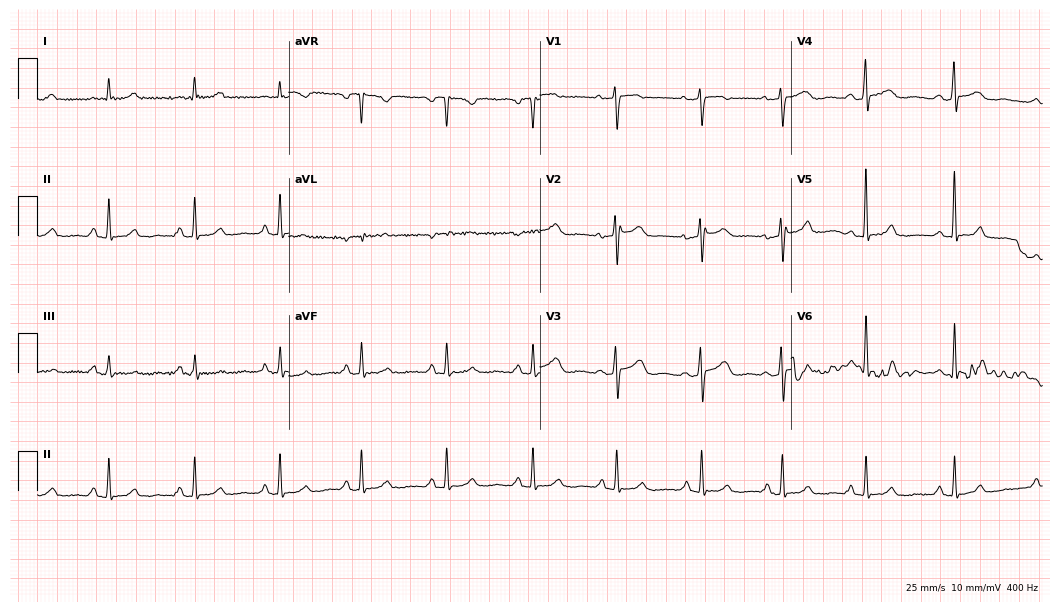
Standard 12-lead ECG recorded from a woman, 54 years old (10.2-second recording at 400 Hz). None of these six findings is recorded: first-degree AV block, right bundle branch block (RBBB), left bundle branch block (LBBB), sinus bradycardia, atrial fibrillation (AF), sinus tachycardia. Only these six findings were labelled.